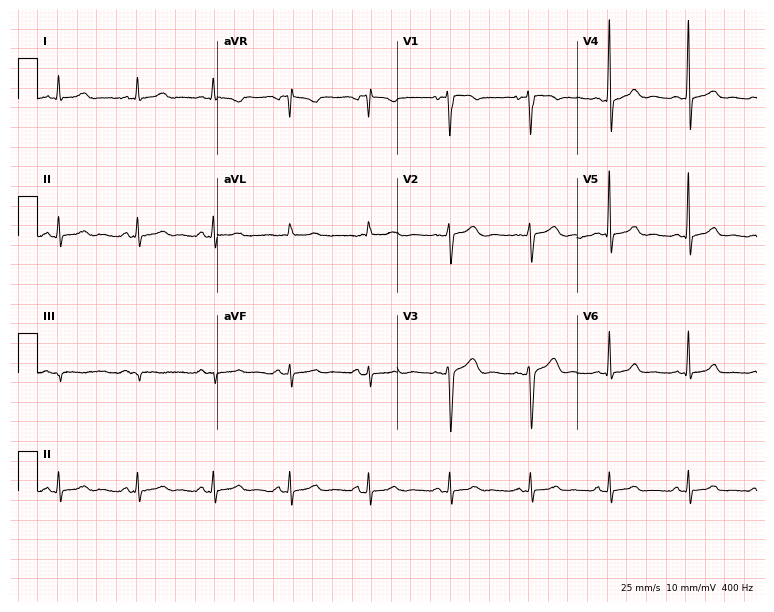
Electrocardiogram, a 34-year-old male patient. Of the six screened findings (first-degree AV block, right bundle branch block, left bundle branch block, sinus bradycardia, atrial fibrillation, sinus tachycardia), none is recorded.